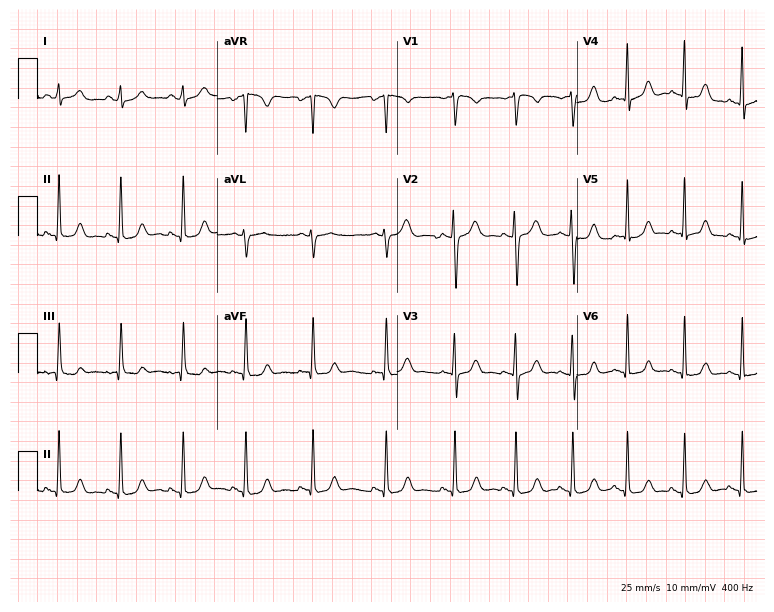
Resting 12-lead electrocardiogram (7.3-second recording at 400 Hz). Patient: a female, 22 years old. Read as a normal ECG.